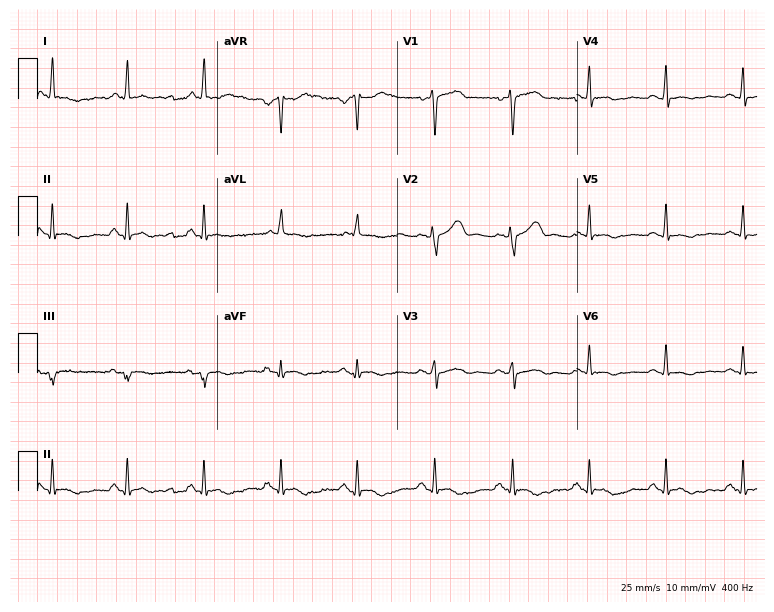
ECG — a woman, 53 years old. Screened for six findings — first-degree AV block, right bundle branch block (RBBB), left bundle branch block (LBBB), sinus bradycardia, atrial fibrillation (AF), sinus tachycardia — none is recorded.